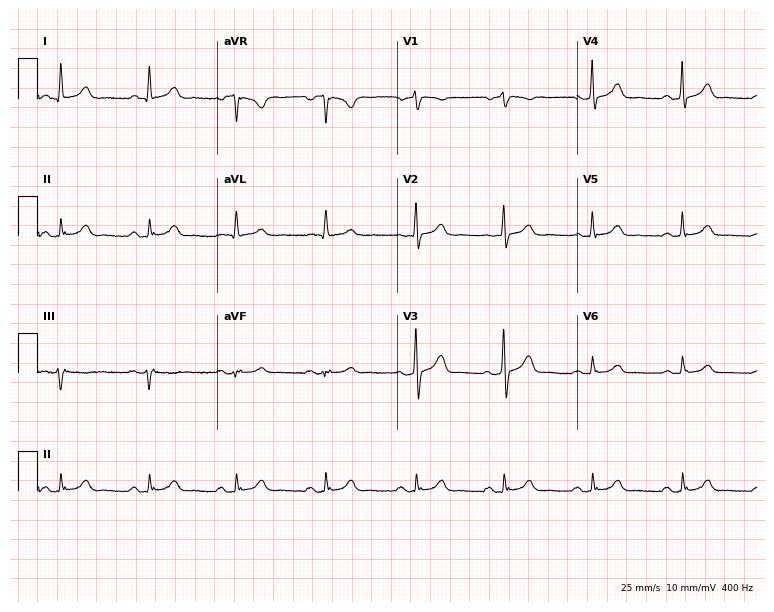
Resting 12-lead electrocardiogram. Patient: a 70-year-old woman. Read as a normal ECG.